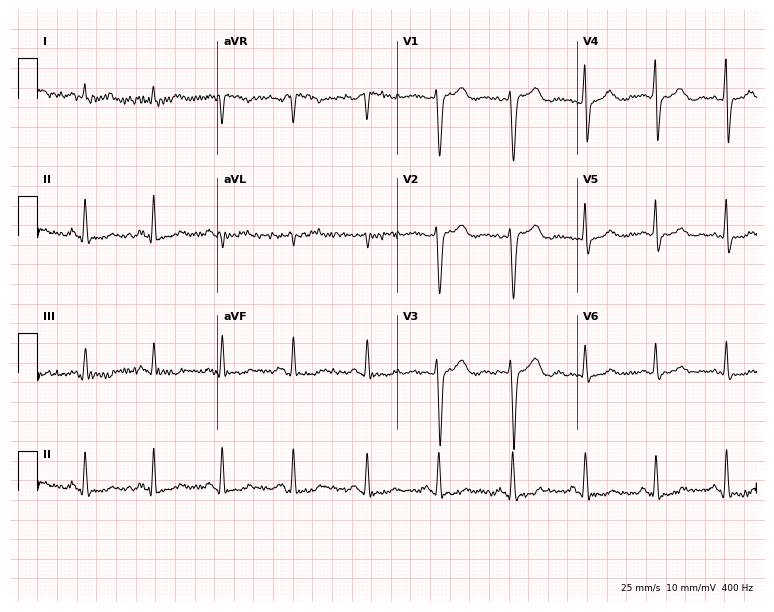
ECG (7.3-second recording at 400 Hz) — a 34-year-old female. Screened for six findings — first-degree AV block, right bundle branch block, left bundle branch block, sinus bradycardia, atrial fibrillation, sinus tachycardia — none is recorded. Findings outside these six are not listed.